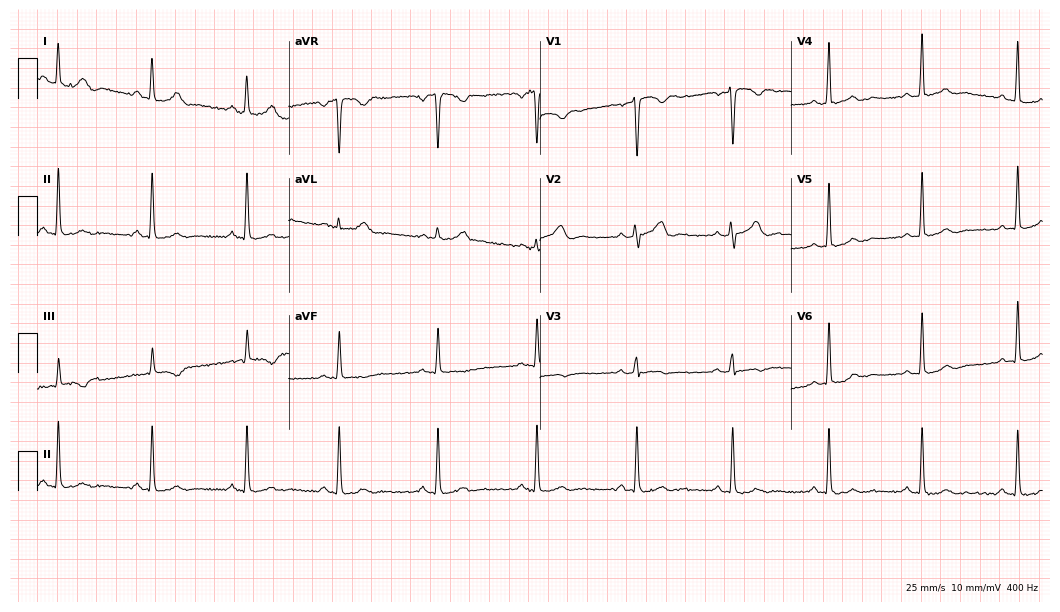
12-lead ECG from a male patient, 37 years old. Screened for six findings — first-degree AV block, right bundle branch block, left bundle branch block, sinus bradycardia, atrial fibrillation, sinus tachycardia — none is recorded.